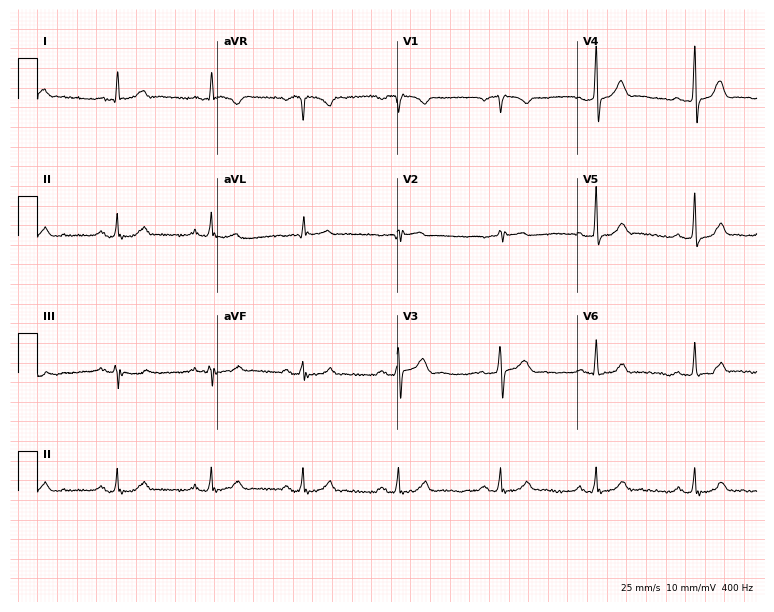
Electrocardiogram (7.3-second recording at 400 Hz), a male patient, 62 years old. Overall reading on record: normal ECG.